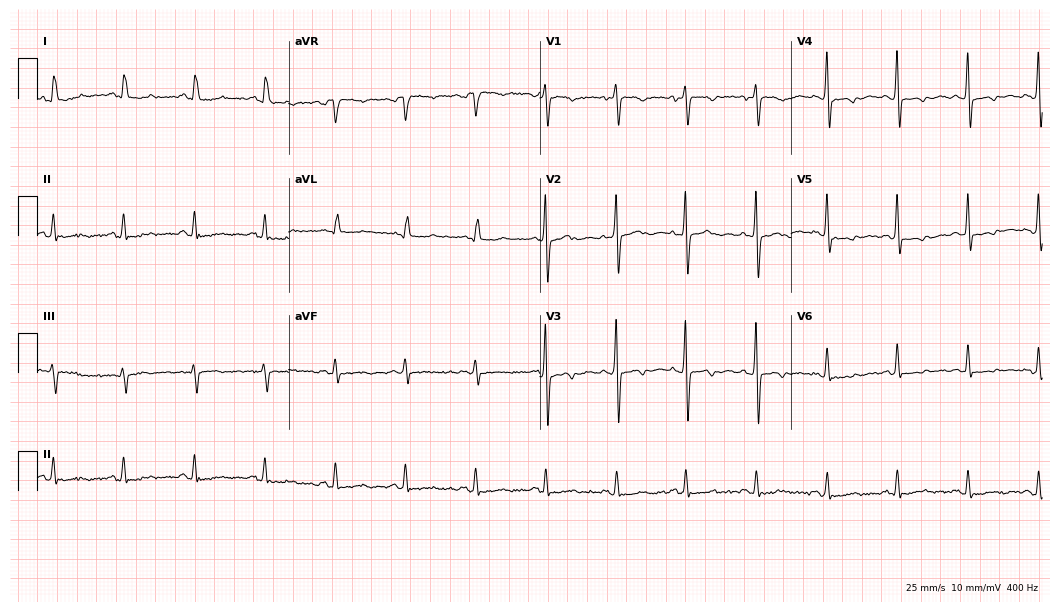
Resting 12-lead electrocardiogram. Patient: a man, 80 years old. None of these six findings is recorded: first-degree AV block, right bundle branch block, left bundle branch block, sinus bradycardia, atrial fibrillation, sinus tachycardia.